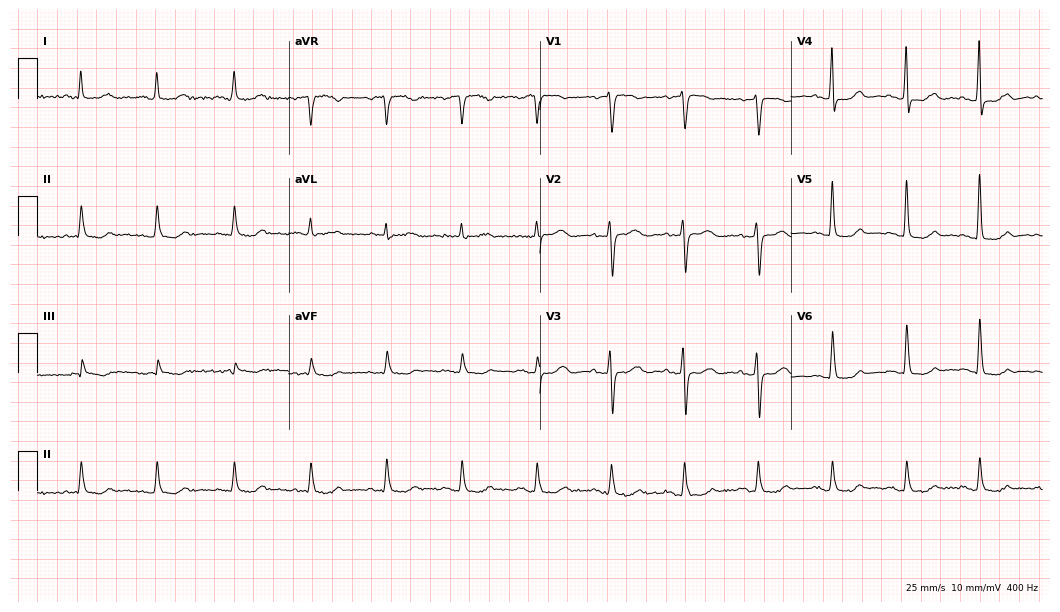
12-lead ECG from a 76-year-old female (10.2-second recording at 400 Hz). No first-degree AV block, right bundle branch block, left bundle branch block, sinus bradycardia, atrial fibrillation or sinus tachycardia recorded for this tracing. Findings outside these six are not listed.